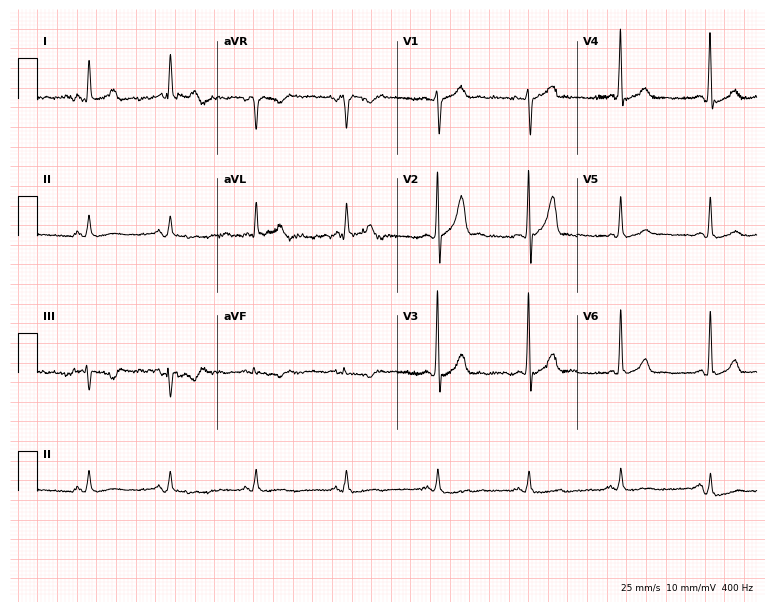
12-lead ECG (7.3-second recording at 400 Hz) from a 59-year-old male patient. Screened for six findings — first-degree AV block, right bundle branch block, left bundle branch block, sinus bradycardia, atrial fibrillation, sinus tachycardia — none is recorded.